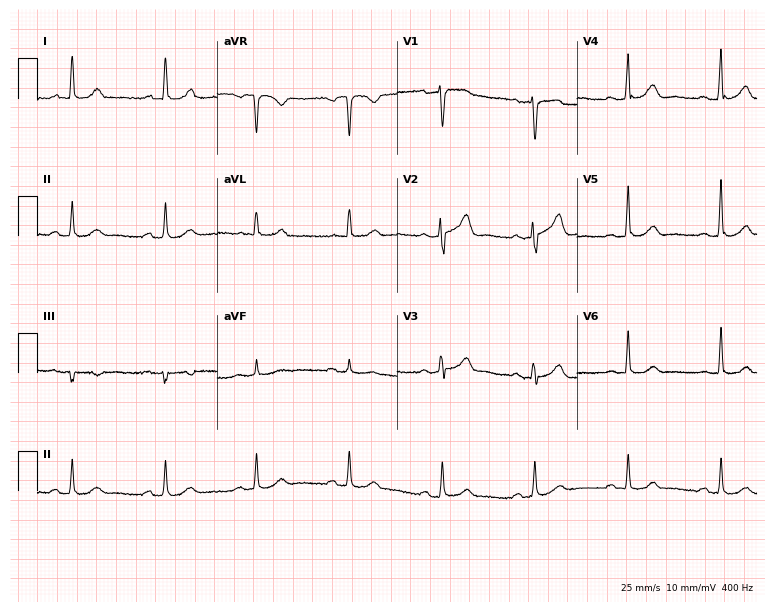
Resting 12-lead electrocardiogram (7.3-second recording at 400 Hz). Patient: a male, 57 years old. Read as a normal ECG.